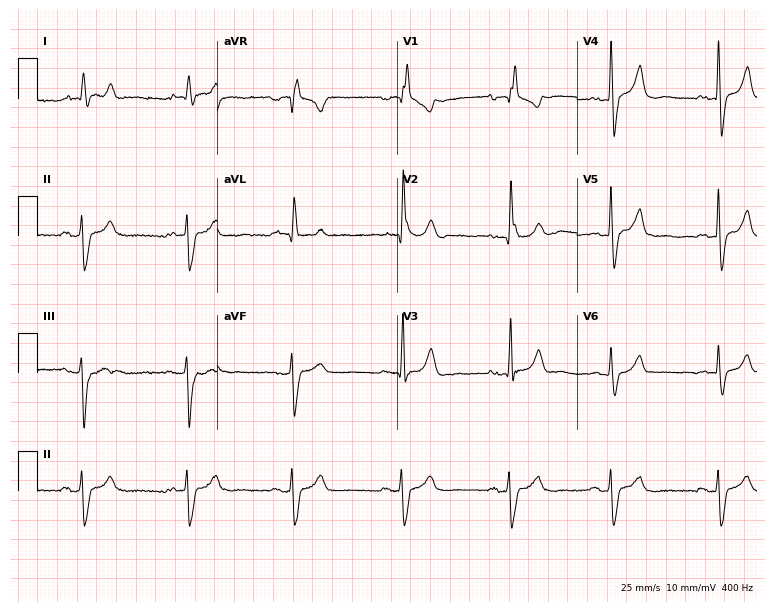
ECG — a man, 83 years old. Findings include right bundle branch block (RBBB).